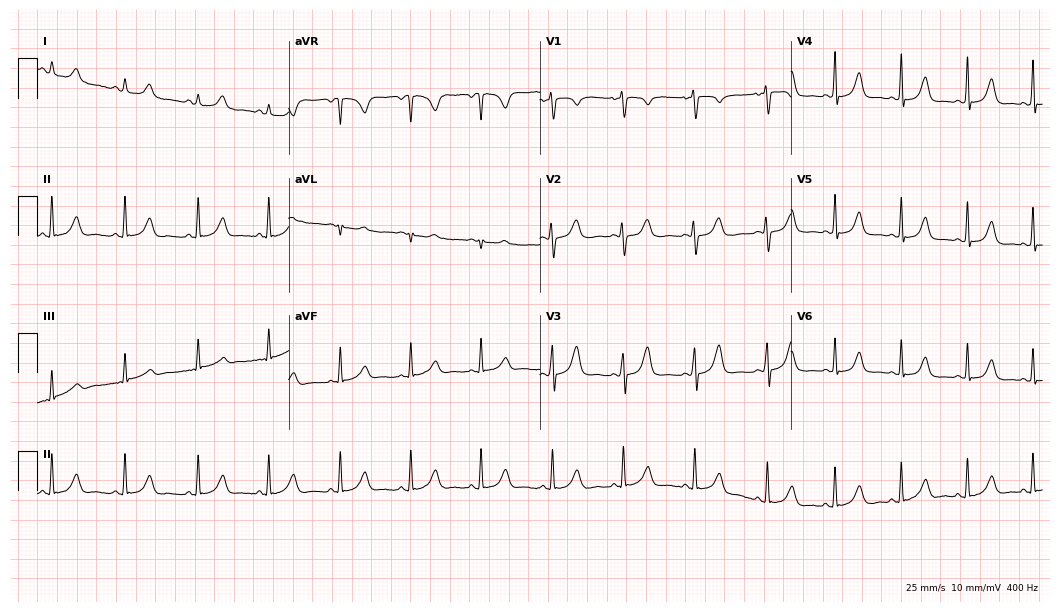
Electrocardiogram (10.2-second recording at 400 Hz), a 25-year-old female. Of the six screened findings (first-degree AV block, right bundle branch block, left bundle branch block, sinus bradycardia, atrial fibrillation, sinus tachycardia), none is recorded. Only these six findings were labelled.